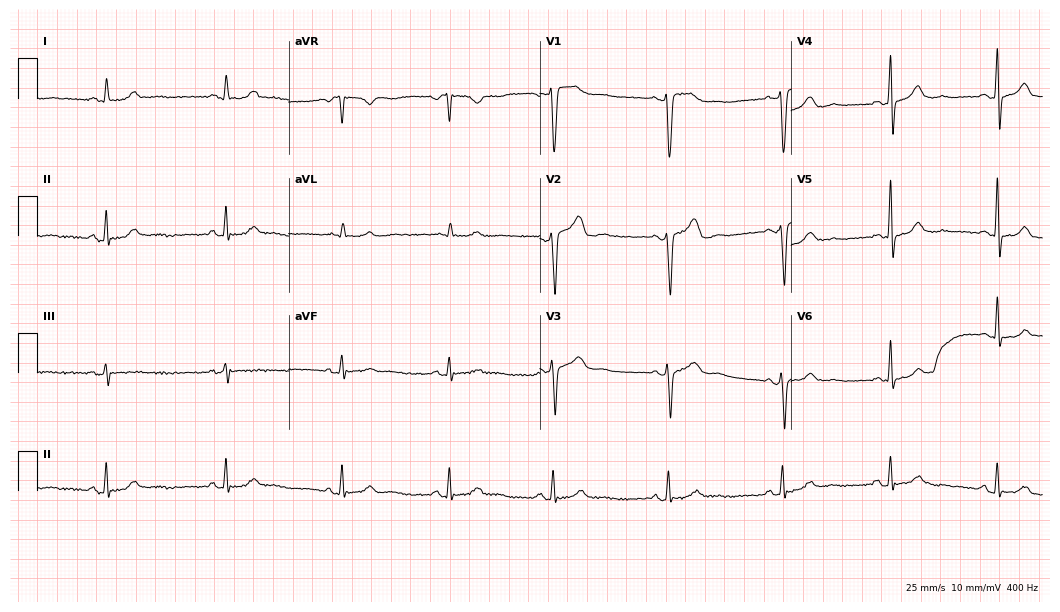
Electrocardiogram (10.2-second recording at 400 Hz), a 44-year-old female. Overall reading on record: normal ECG.